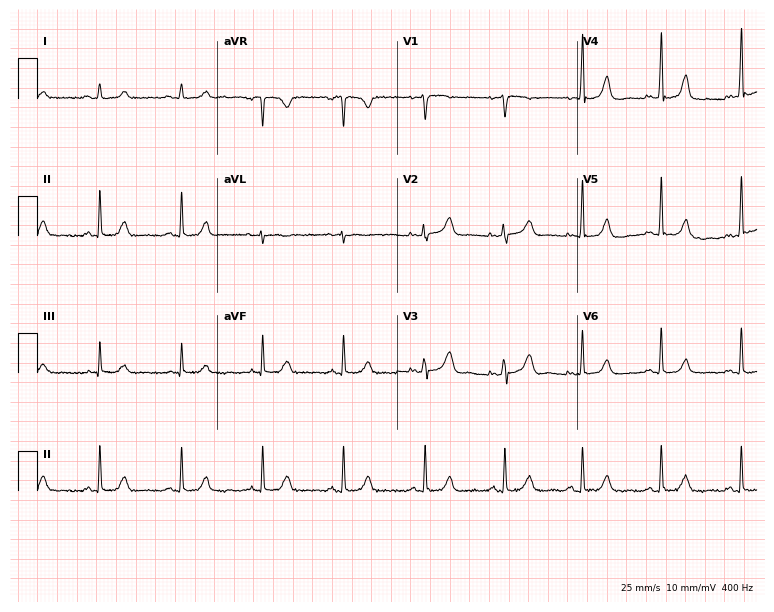
Electrocardiogram (7.3-second recording at 400 Hz), a woman, 45 years old. Of the six screened findings (first-degree AV block, right bundle branch block, left bundle branch block, sinus bradycardia, atrial fibrillation, sinus tachycardia), none is recorded.